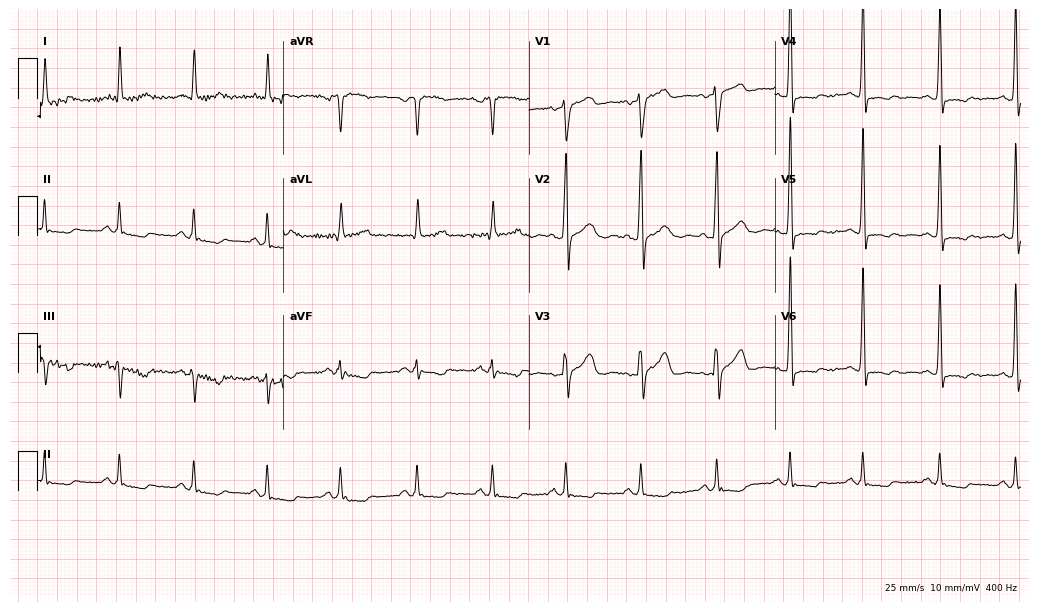
Electrocardiogram (10-second recording at 400 Hz), a 75-year-old male patient. Of the six screened findings (first-degree AV block, right bundle branch block (RBBB), left bundle branch block (LBBB), sinus bradycardia, atrial fibrillation (AF), sinus tachycardia), none is recorded.